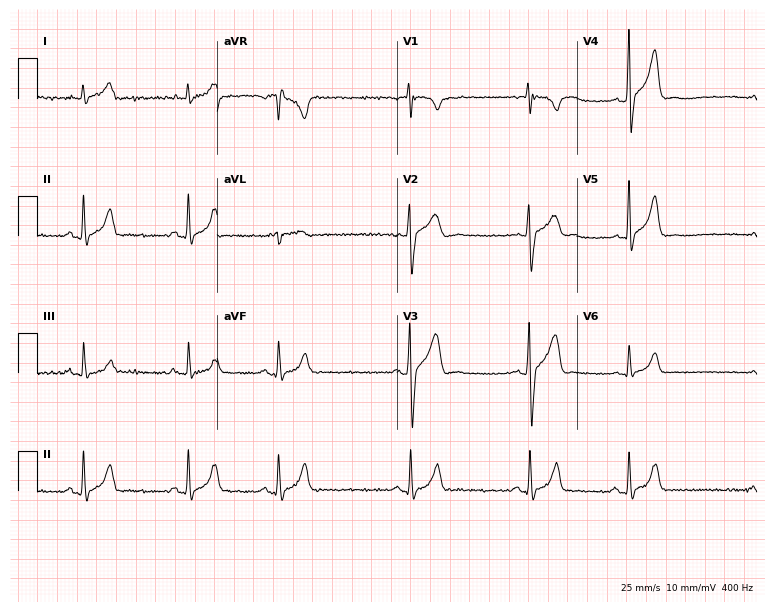
Standard 12-lead ECG recorded from a man, 19 years old (7.3-second recording at 400 Hz). Read as a normal ECG.